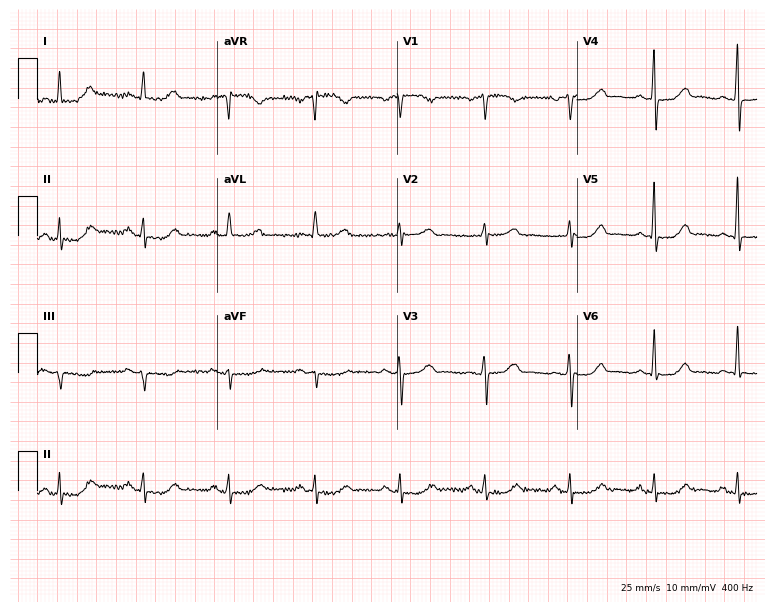
Electrocardiogram (7.3-second recording at 400 Hz), a female patient, 58 years old. Overall reading on record: normal ECG.